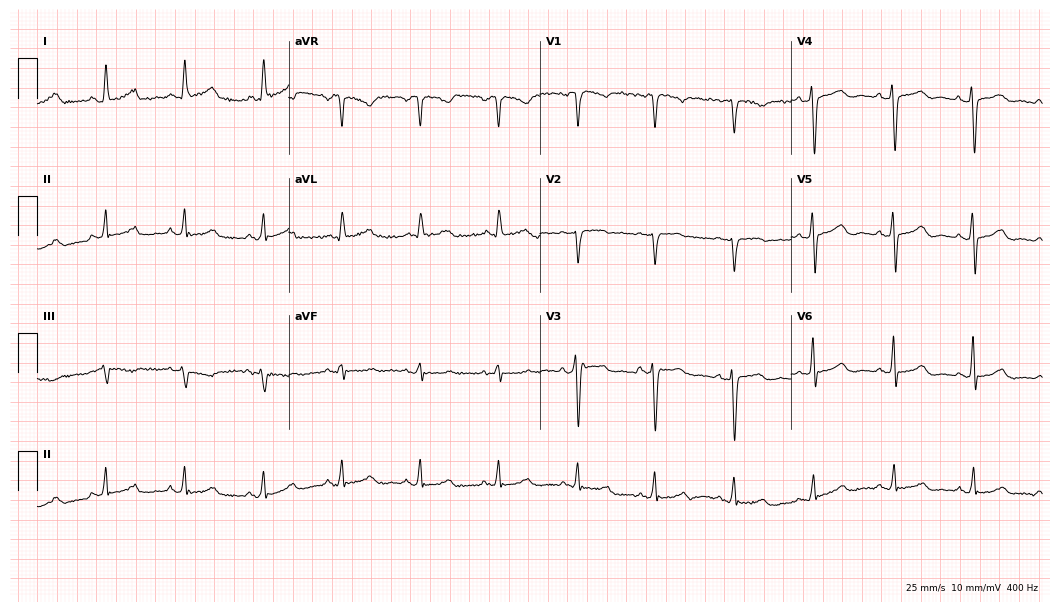
Resting 12-lead electrocardiogram. Patient: a 50-year-old female. Read as a normal ECG.